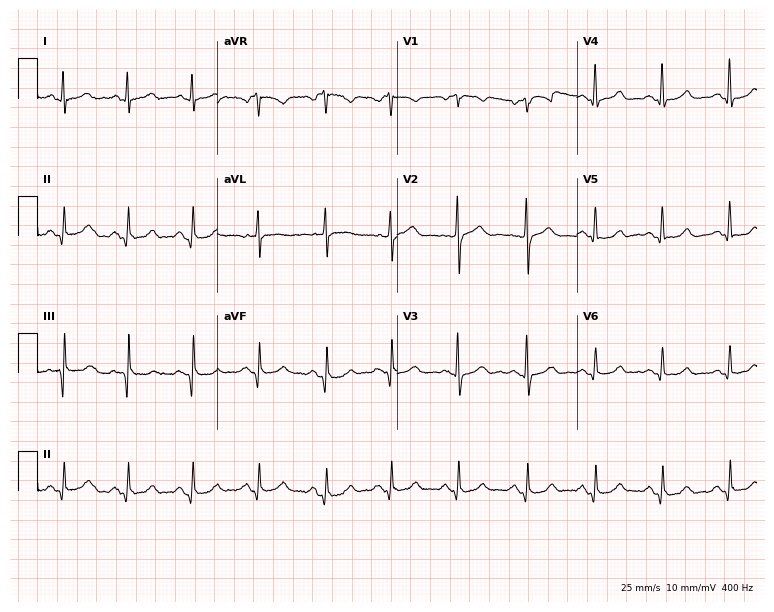
12-lead ECG from a female, 58 years old (7.3-second recording at 400 Hz). No first-degree AV block, right bundle branch block, left bundle branch block, sinus bradycardia, atrial fibrillation or sinus tachycardia recorded for this tracing. Findings outside these six are not listed.